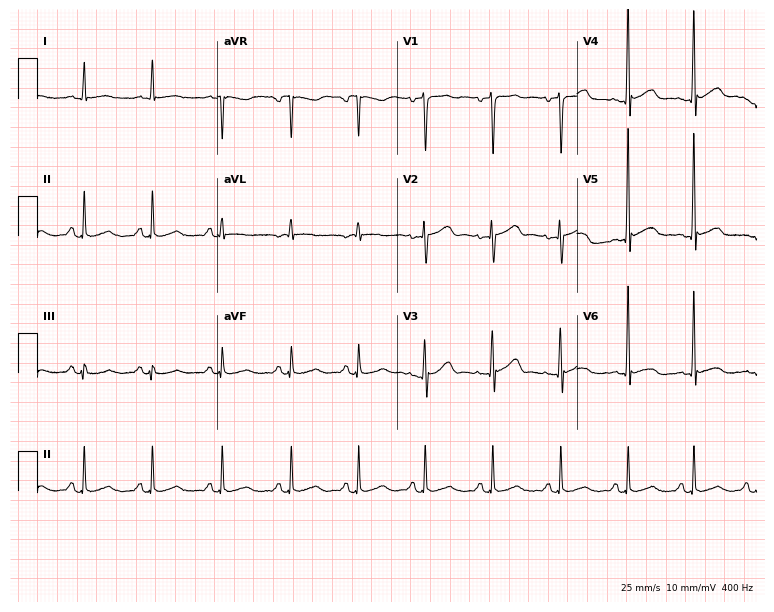
12-lead ECG from a 40-year-old man (7.3-second recording at 400 Hz). No first-degree AV block, right bundle branch block (RBBB), left bundle branch block (LBBB), sinus bradycardia, atrial fibrillation (AF) or sinus tachycardia recorded for this tracing. Only these six findings were labelled.